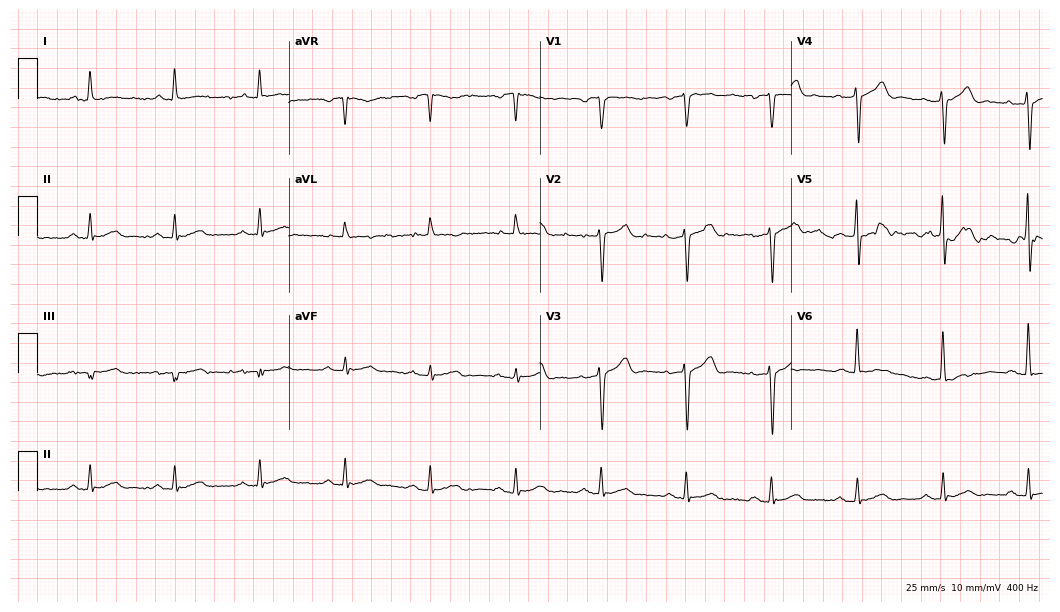
12-lead ECG from a male patient, 66 years old (10.2-second recording at 400 Hz). No first-degree AV block, right bundle branch block (RBBB), left bundle branch block (LBBB), sinus bradycardia, atrial fibrillation (AF) or sinus tachycardia recorded for this tracing.